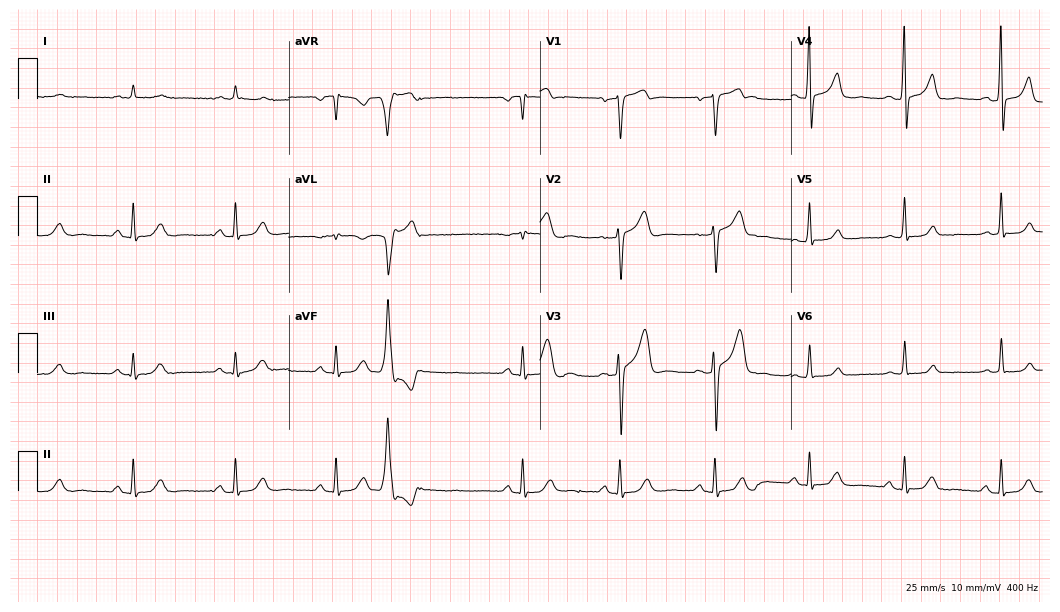
12-lead ECG from a man, 75 years old (10.2-second recording at 400 Hz). No first-degree AV block, right bundle branch block (RBBB), left bundle branch block (LBBB), sinus bradycardia, atrial fibrillation (AF) or sinus tachycardia recorded for this tracing. Other findings, if any, are not listed.